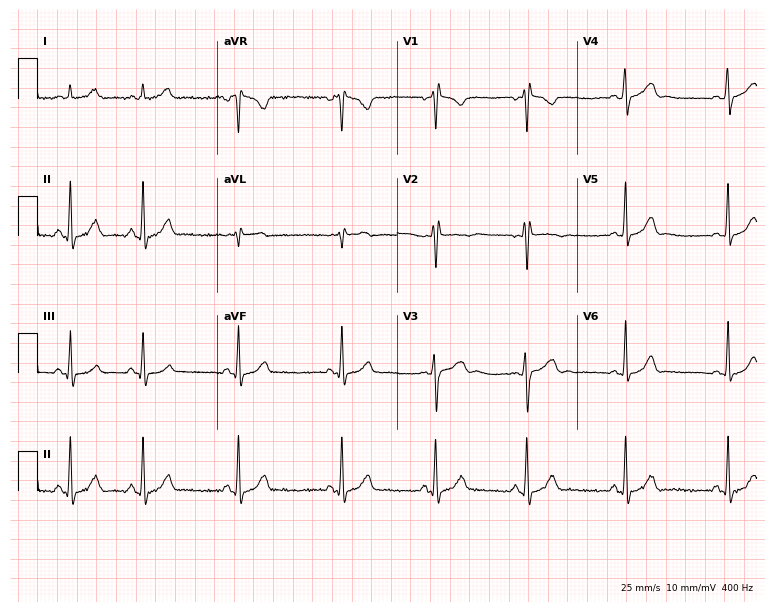
Standard 12-lead ECG recorded from a 23-year-old woman. None of these six findings is recorded: first-degree AV block, right bundle branch block (RBBB), left bundle branch block (LBBB), sinus bradycardia, atrial fibrillation (AF), sinus tachycardia. Only these six findings were labelled.